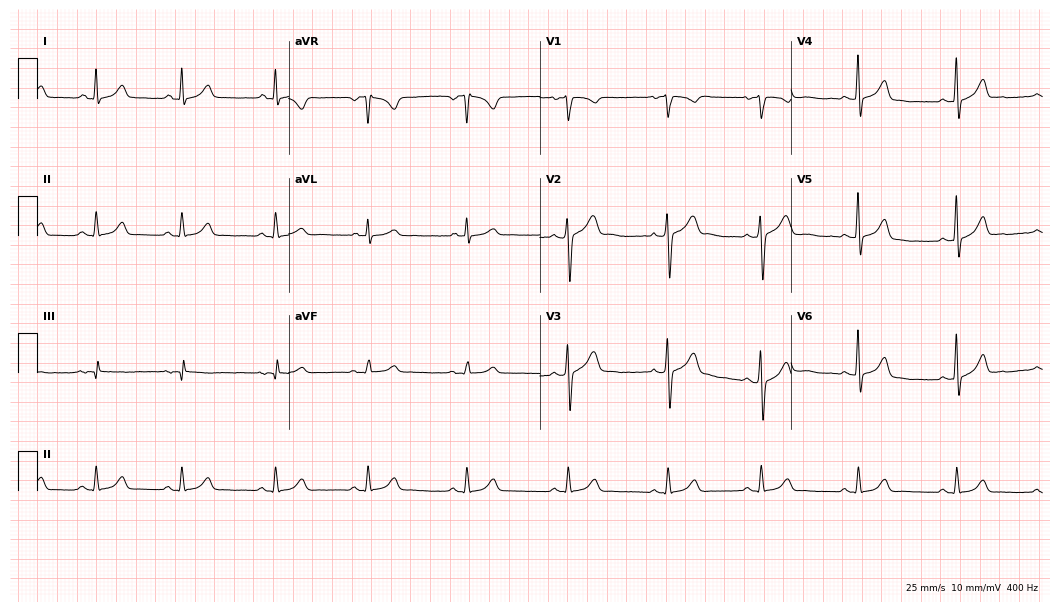
Resting 12-lead electrocardiogram (10.2-second recording at 400 Hz). Patient: a 37-year-old male. Read as a normal ECG.